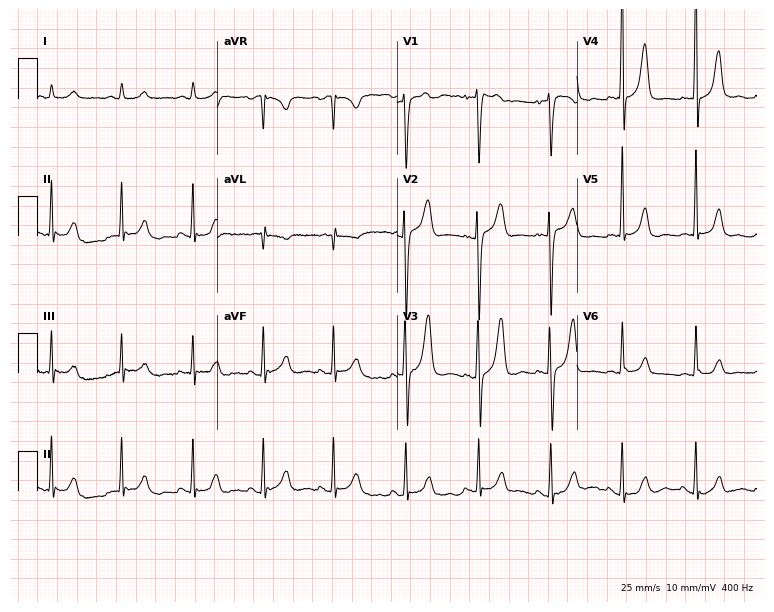
ECG (7.3-second recording at 400 Hz) — a man, 52 years old. Labelled as a normal ECG.